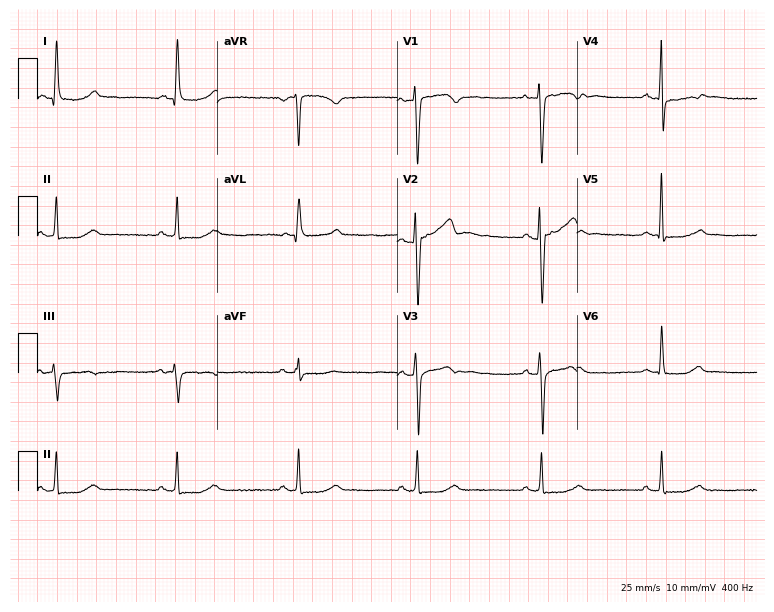
12-lead ECG (7.3-second recording at 400 Hz) from a woman, 50 years old. Findings include sinus bradycardia (a sinus rate of 50 beats per minute or less).